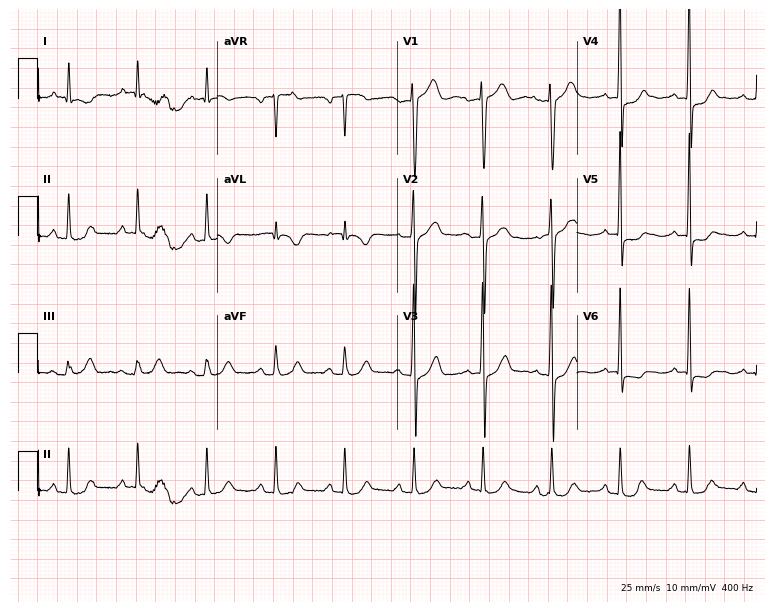
ECG (7.3-second recording at 400 Hz) — a 60-year-old male. Screened for six findings — first-degree AV block, right bundle branch block, left bundle branch block, sinus bradycardia, atrial fibrillation, sinus tachycardia — none is recorded.